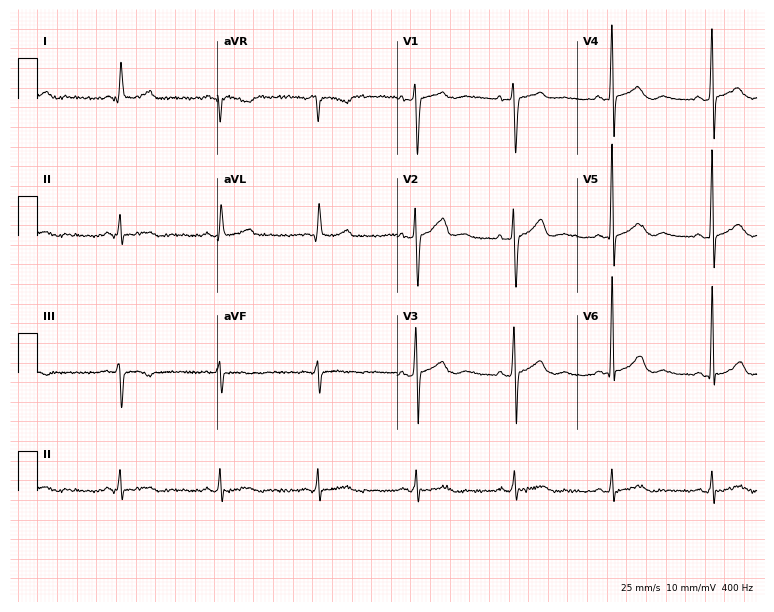
12-lead ECG from a male patient, 62 years old. Screened for six findings — first-degree AV block, right bundle branch block, left bundle branch block, sinus bradycardia, atrial fibrillation, sinus tachycardia — none is recorded.